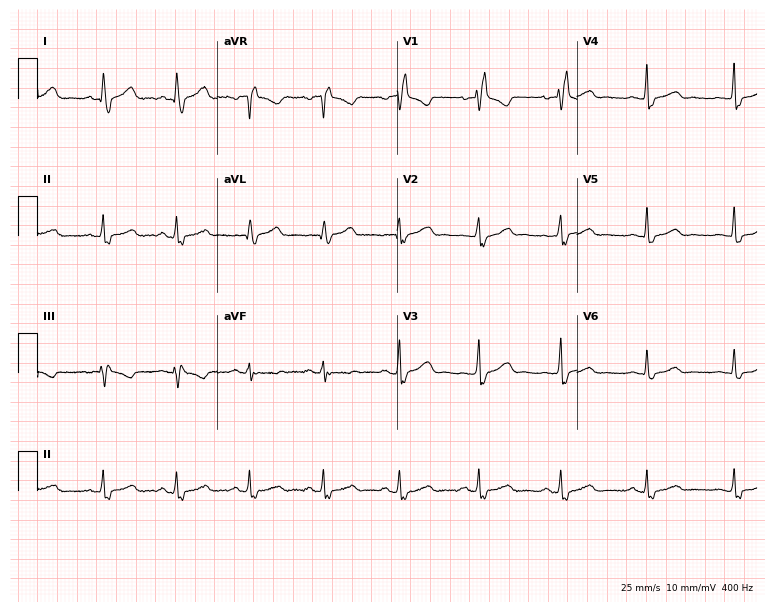
12-lead ECG from a woman, 60 years old (7.3-second recording at 400 Hz). Shows right bundle branch block.